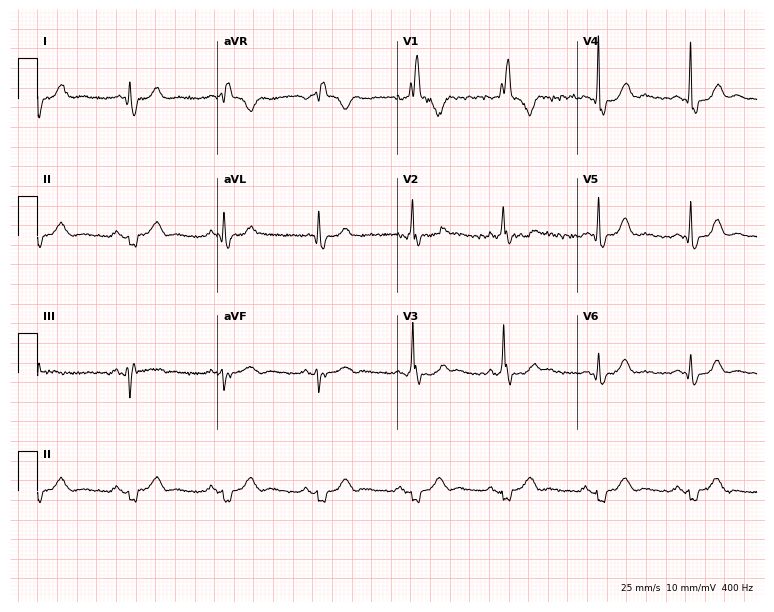
Standard 12-lead ECG recorded from a 63-year-old man (7.3-second recording at 400 Hz). The tracing shows right bundle branch block.